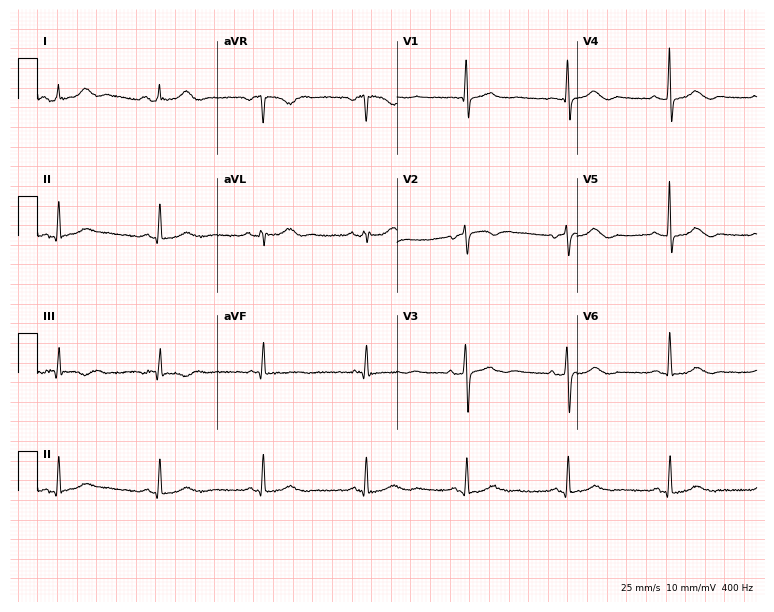
Resting 12-lead electrocardiogram (7.3-second recording at 400 Hz). Patient: an 82-year-old female. Read as a normal ECG.